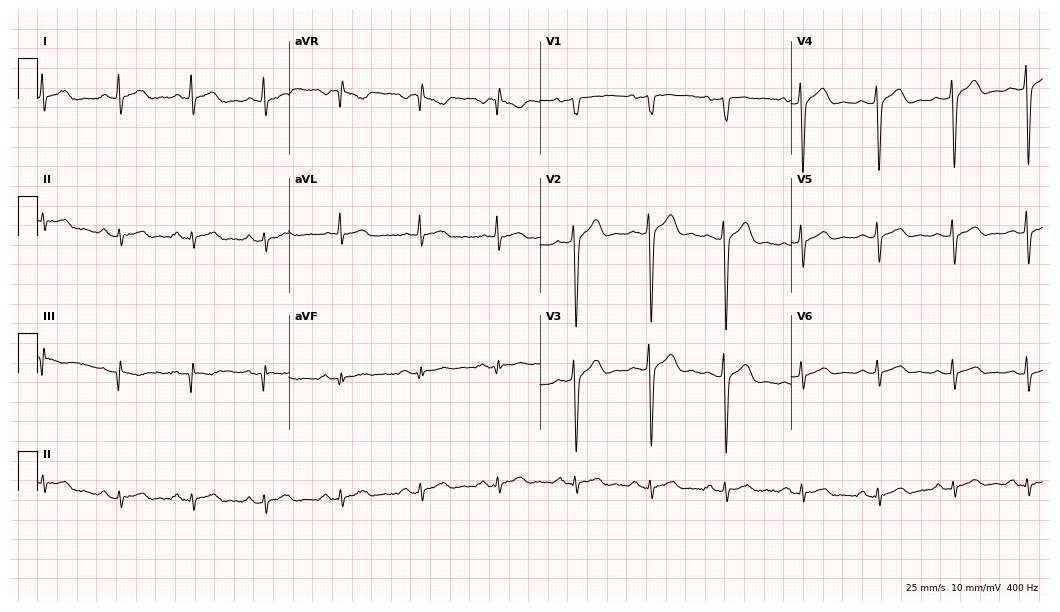
12-lead ECG from a 42-year-old male (10.2-second recording at 400 Hz). No first-degree AV block, right bundle branch block, left bundle branch block, sinus bradycardia, atrial fibrillation or sinus tachycardia recorded for this tracing.